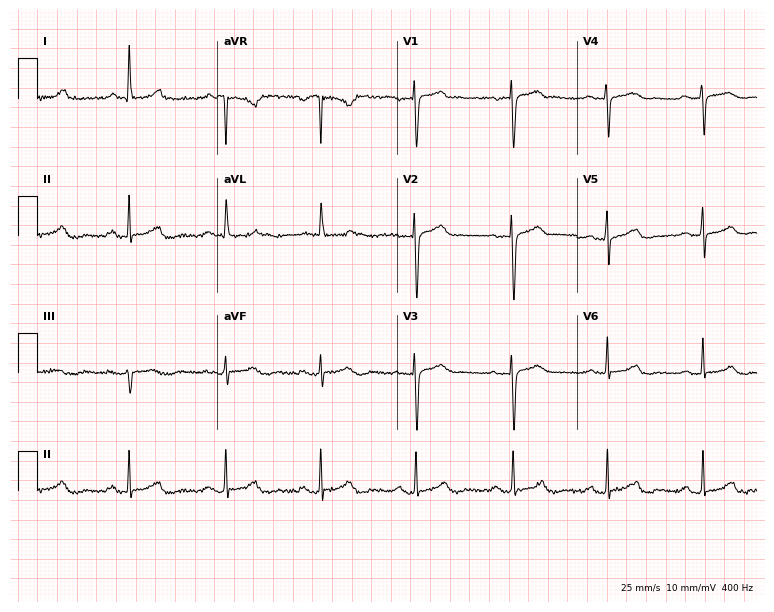
ECG (7.3-second recording at 400 Hz) — a female patient, 76 years old. Screened for six findings — first-degree AV block, right bundle branch block, left bundle branch block, sinus bradycardia, atrial fibrillation, sinus tachycardia — none is recorded.